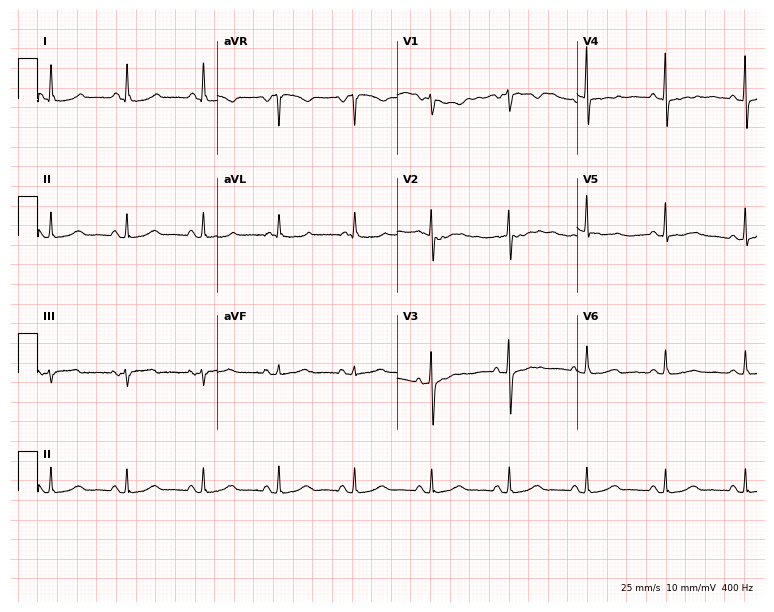
Standard 12-lead ECG recorded from a 60-year-old female (7.3-second recording at 400 Hz). None of these six findings is recorded: first-degree AV block, right bundle branch block, left bundle branch block, sinus bradycardia, atrial fibrillation, sinus tachycardia. Only these six findings were labelled.